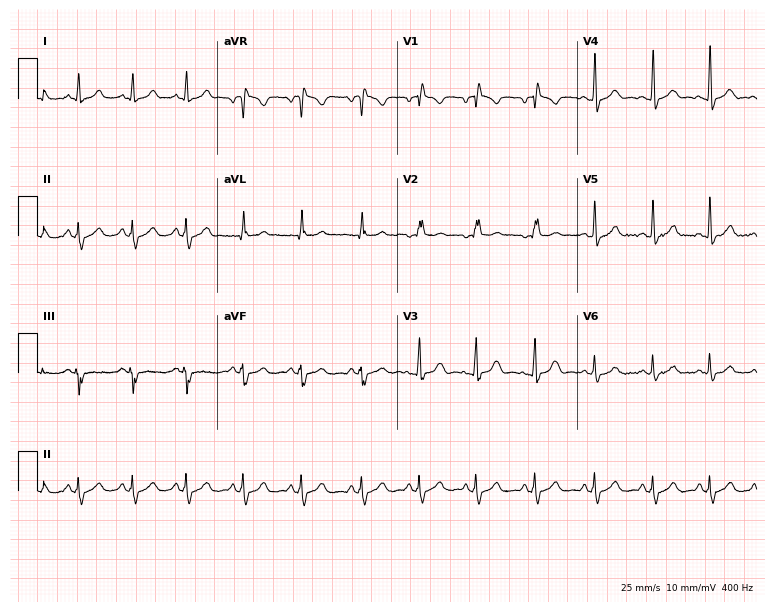
12-lead ECG from a female patient, 17 years old. No first-degree AV block, right bundle branch block, left bundle branch block, sinus bradycardia, atrial fibrillation or sinus tachycardia recorded for this tracing. Only these six findings were labelled.